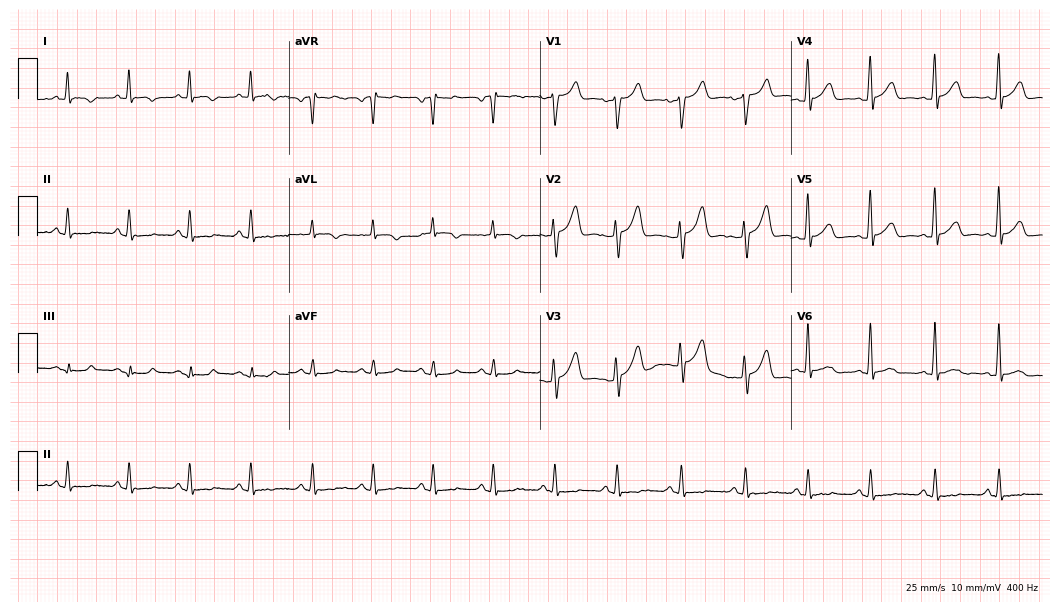
12-lead ECG (10.2-second recording at 400 Hz) from a man, 40 years old. Screened for six findings — first-degree AV block, right bundle branch block, left bundle branch block, sinus bradycardia, atrial fibrillation, sinus tachycardia — none is recorded. Only these six findings were labelled.